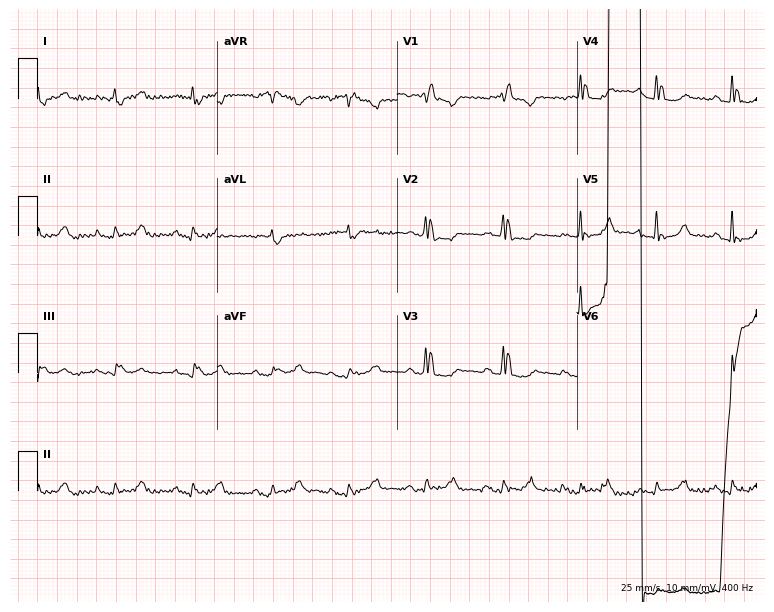
Resting 12-lead electrocardiogram. Patient: a man, 82 years old. None of these six findings is recorded: first-degree AV block, right bundle branch block, left bundle branch block, sinus bradycardia, atrial fibrillation, sinus tachycardia.